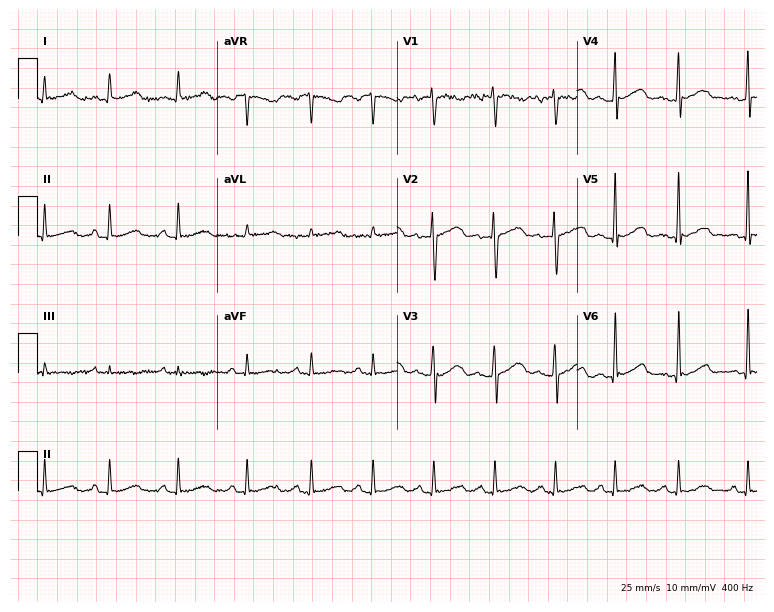
ECG — a 40-year-old male. Screened for six findings — first-degree AV block, right bundle branch block, left bundle branch block, sinus bradycardia, atrial fibrillation, sinus tachycardia — none is recorded. Other findings, if any, are not listed.